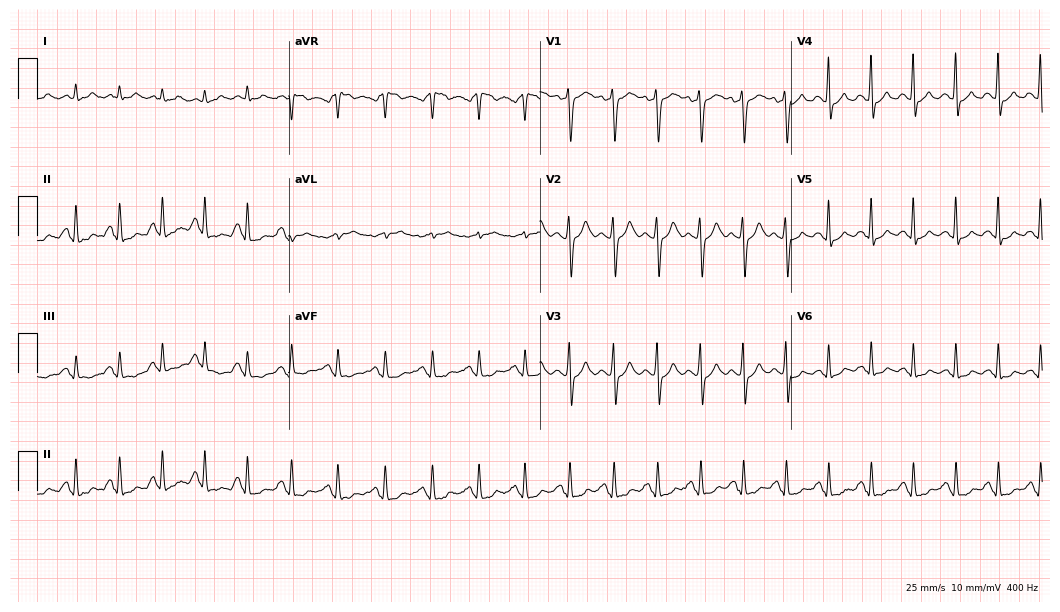
12-lead ECG (10.2-second recording at 400 Hz) from a 45-year-old woman. Findings include sinus tachycardia (a sinus rate of 100 beats per minute or more).